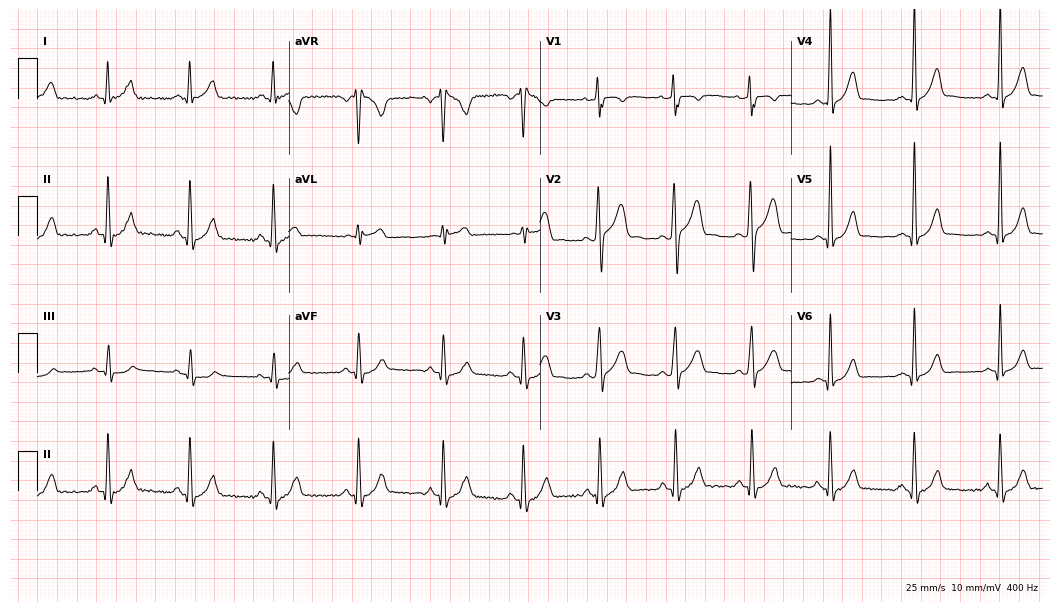
12-lead ECG (10.2-second recording at 400 Hz) from a male, 28 years old. Screened for six findings — first-degree AV block, right bundle branch block, left bundle branch block, sinus bradycardia, atrial fibrillation, sinus tachycardia — none is recorded. Only these six findings were labelled.